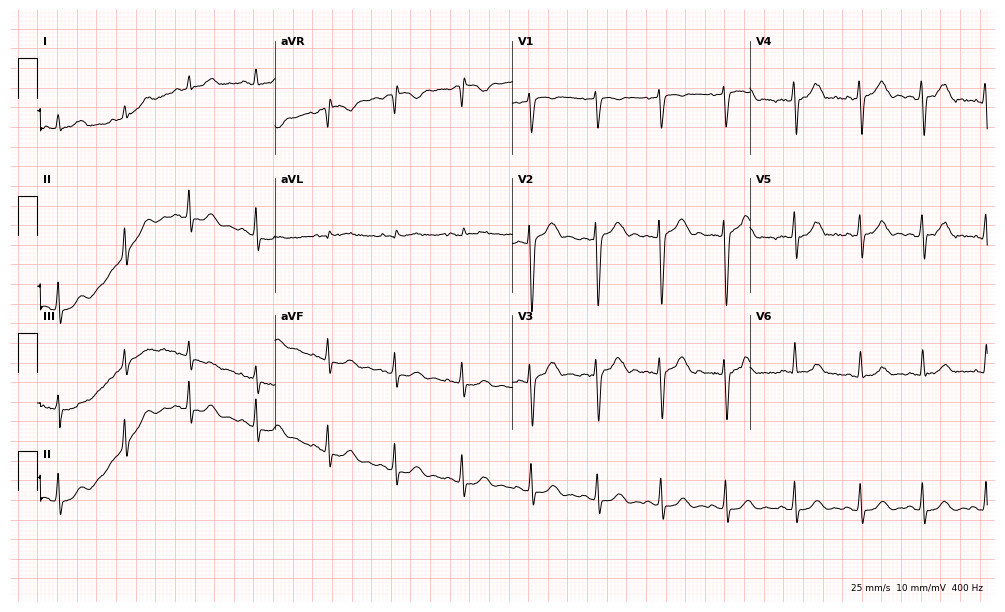
12-lead ECG (9.7-second recording at 400 Hz) from a 32-year-old woman. Labelled as a normal ECG.